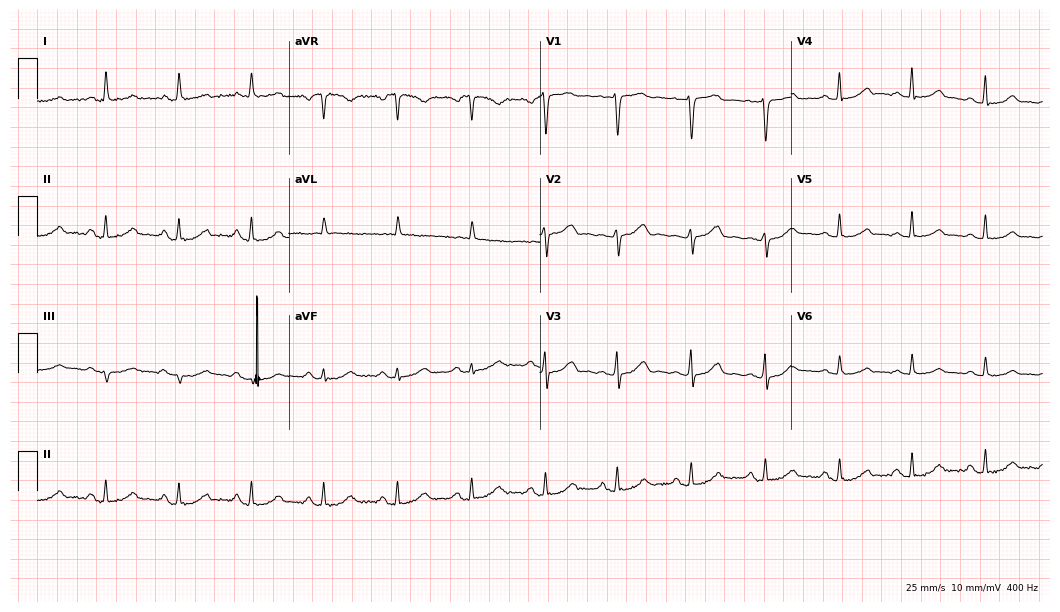
Resting 12-lead electrocardiogram. Patient: a female, 66 years old. None of these six findings is recorded: first-degree AV block, right bundle branch block, left bundle branch block, sinus bradycardia, atrial fibrillation, sinus tachycardia.